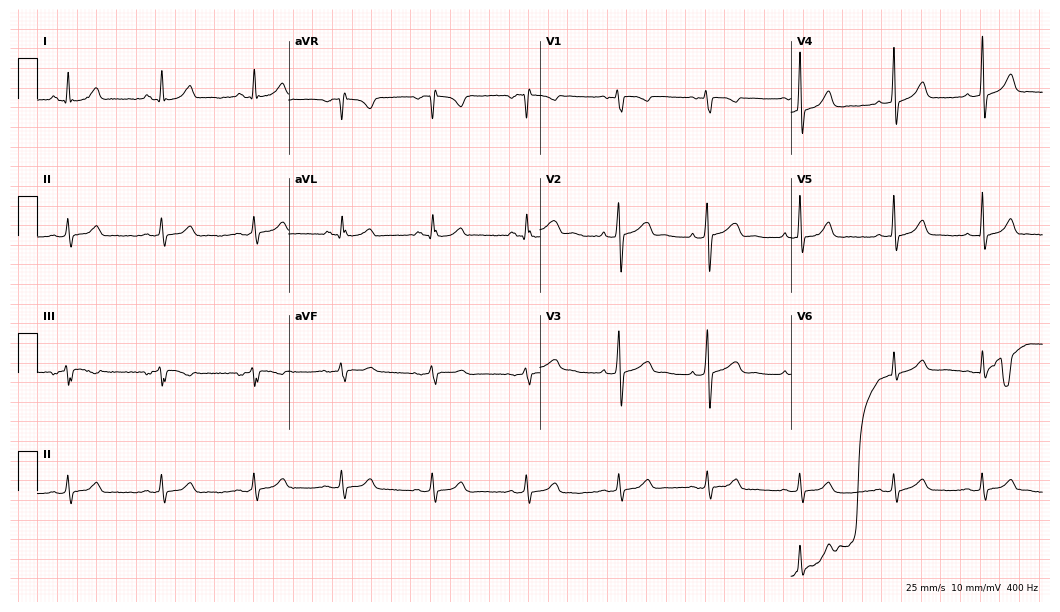
Standard 12-lead ECG recorded from a female, 34 years old (10.2-second recording at 400 Hz). None of these six findings is recorded: first-degree AV block, right bundle branch block (RBBB), left bundle branch block (LBBB), sinus bradycardia, atrial fibrillation (AF), sinus tachycardia. Other findings, if any, are not listed.